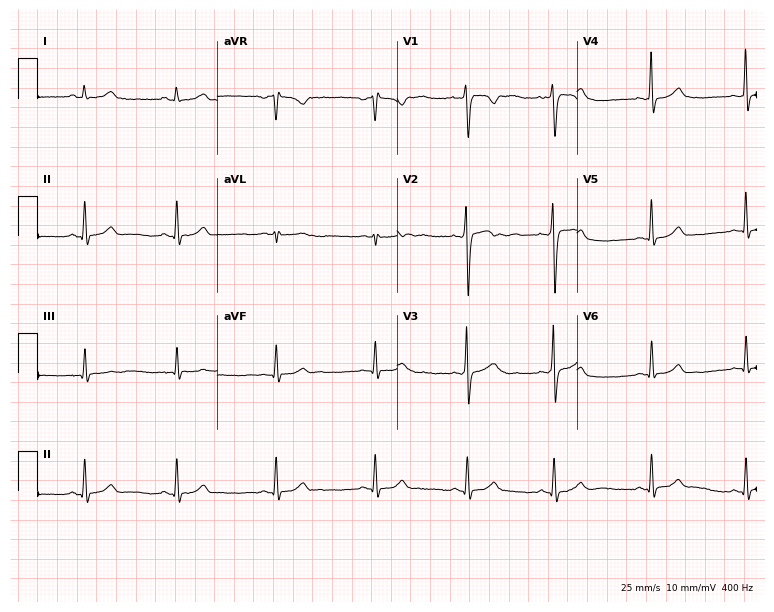
Resting 12-lead electrocardiogram (7.3-second recording at 400 Hz). Patient: a 17-year-old woman. None of these six findings is recorded: first-degree AV block, right bundle branch block, left bundle branch block, sinus bradycardia, atrial fibrillation, sinus tachycardia.